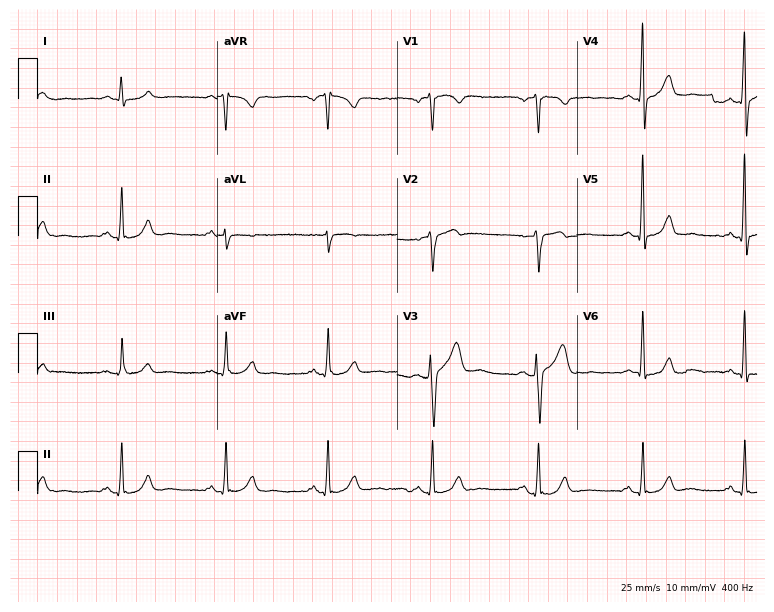
12-lead ECG from a man, 71 years old. Labelled as a normal ECG.